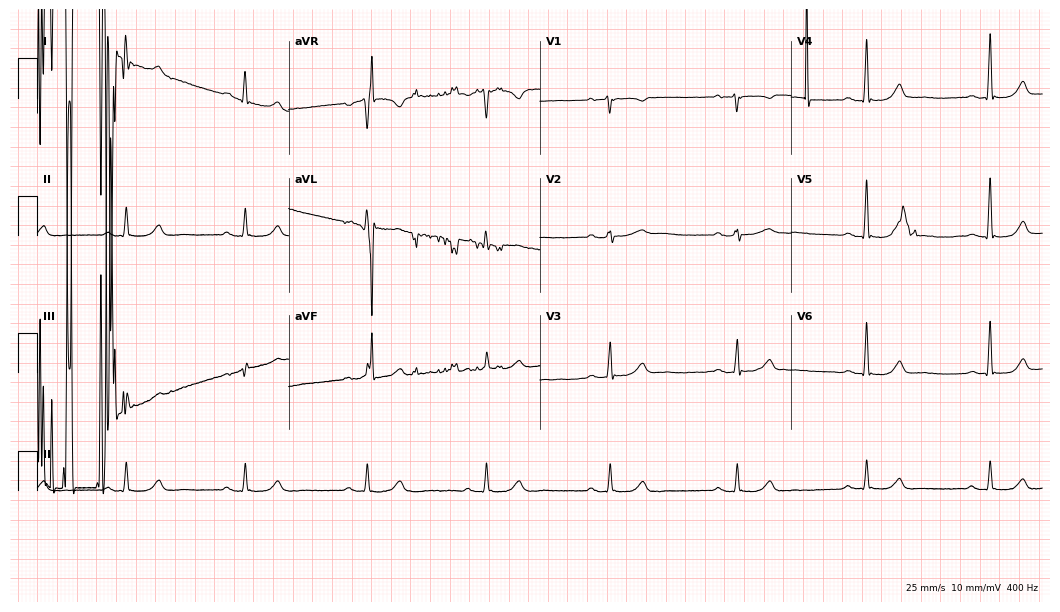
ECG — a female, 59 years old. Findings include sinus bradycardia (a sinus rate of 50 beats per minute or less).